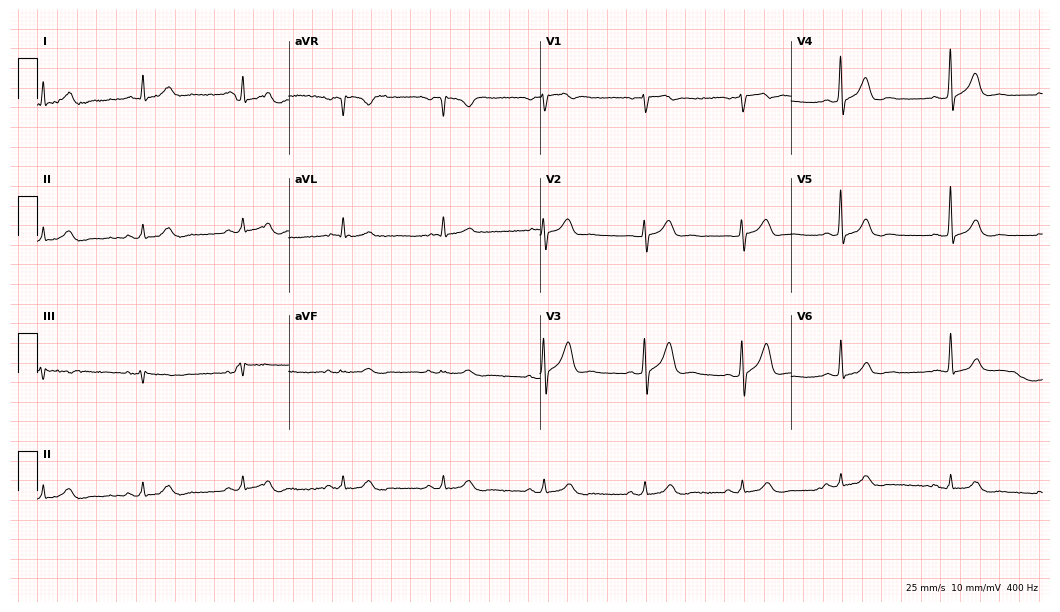
ECG (10.2-second recording at 400 Hz) — a male patient, 68 years old. Labelled as a normal ECG.